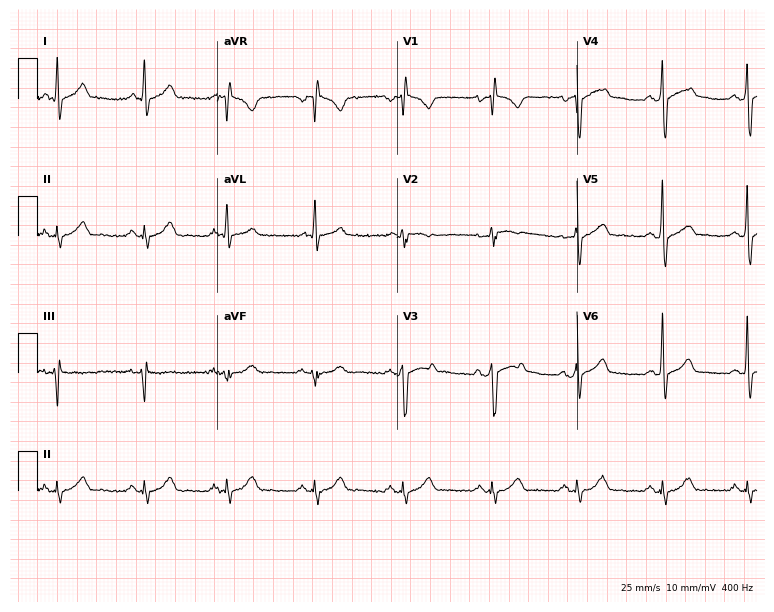
Electrocardiogram (7.3-second recording at 400 Hz), a male, 44 years old. Of the six screened findings (first-degree AV block, right bundle branch block (RBBB), left bundle branch block (LBBB), sinus bradycardia, atrial fibrillation (AF), sinus tachycardia), none is recorded. Findings outside these six are not listed.